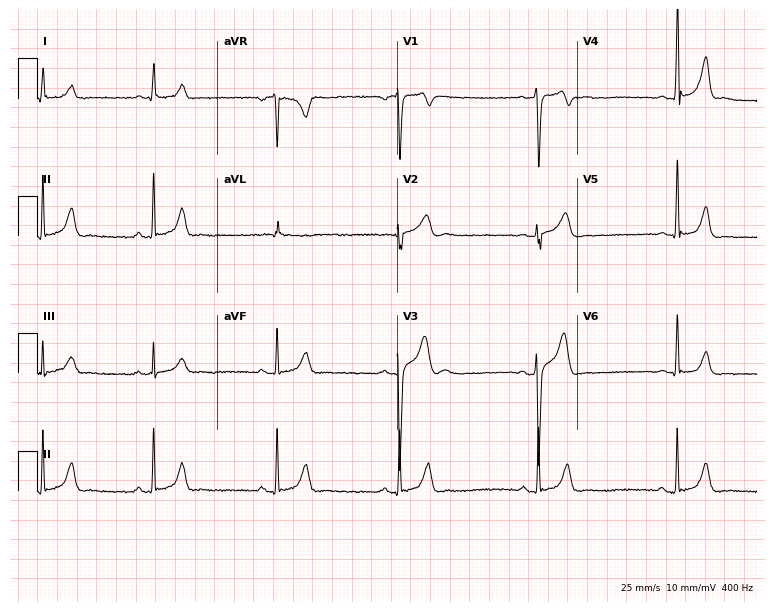
Standard 12-lead ECG recorded from a 17-year-old male patient. The tracing shows sinus bradycardia (a sinus rate of 50 beats per minute or less).